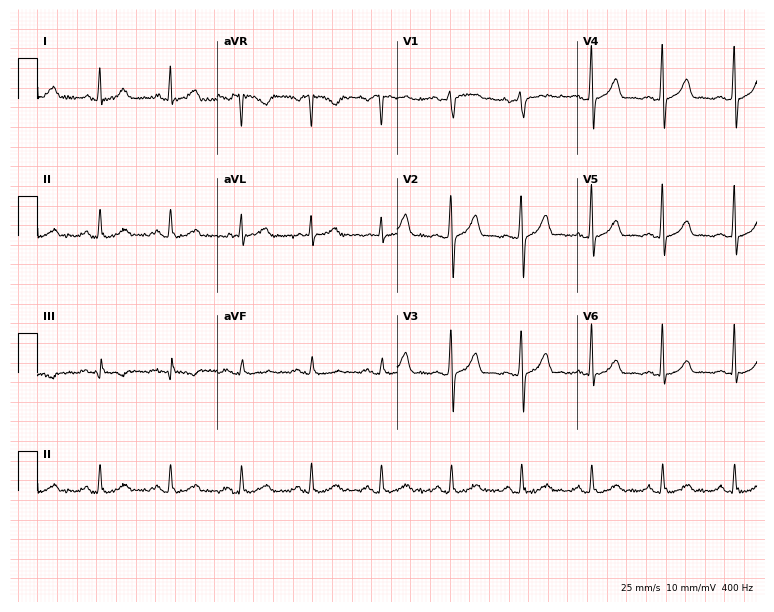
12-lead ECG (7.3-second recording at 400 Hz) from a male patient, 48 years old. Screened for six findings — first-degree AV block, right bundle branch block, left bundle branch block, sinus bradycardia, atrial fibrillation, sinus tachycardia — none is recorded.